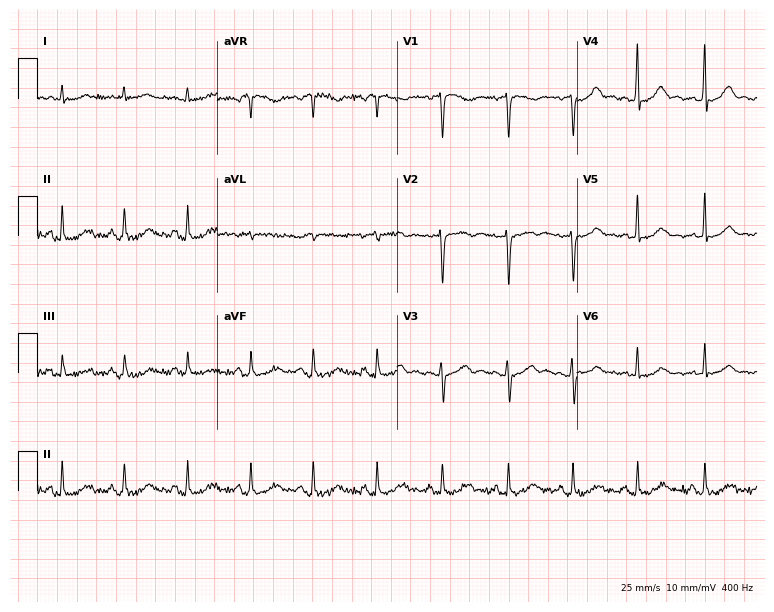
12-lead ECG from a woman, 69 years old. Recorded interpretation: within normal limits.